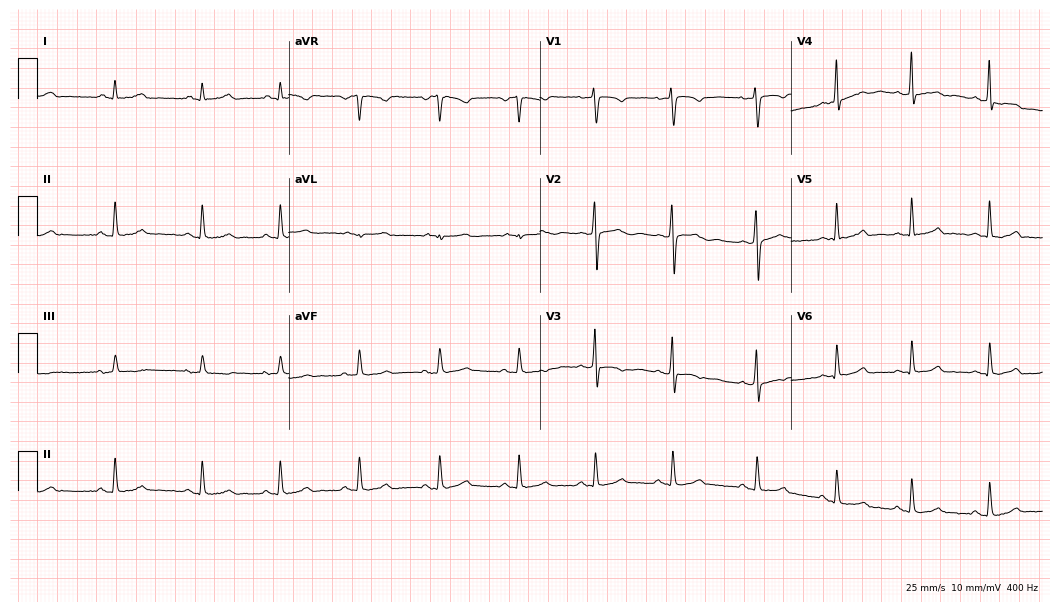
Resting 12-lead electrocardiogram. Patient: a 25-year-old woman. None of these six findings is recorded: first-degree AV block, right bundle branch block (RBBB), left bundle branch block (LBBB), sinus bradycardia, atrial fibrillation (AF), sinus tachycardia.